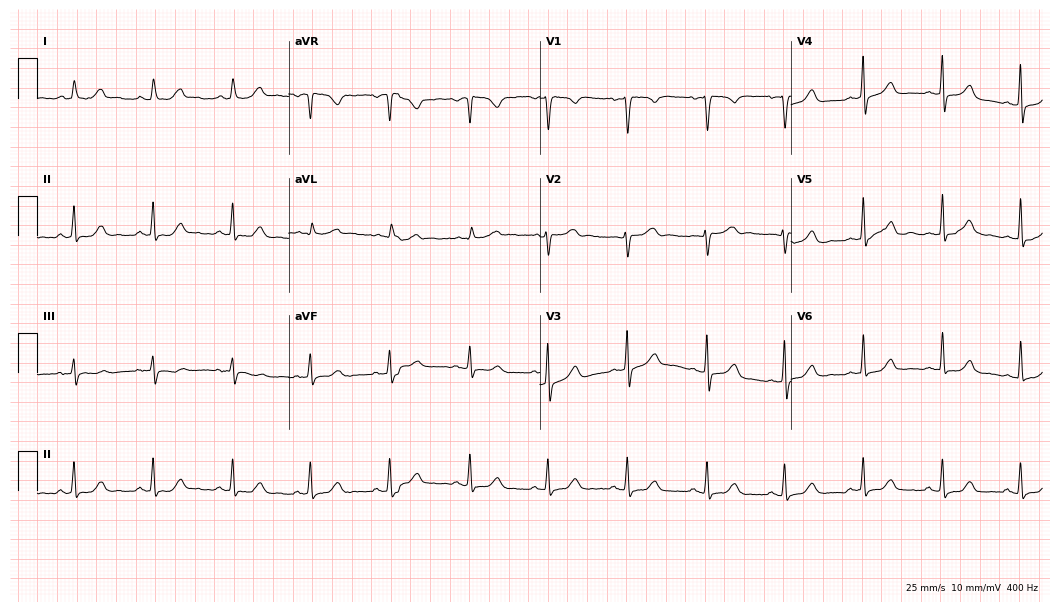
Electrocardiogram (10.2-second recording at 400 Hz), a 43-year-old female. Overall reading on record: normal ECG.